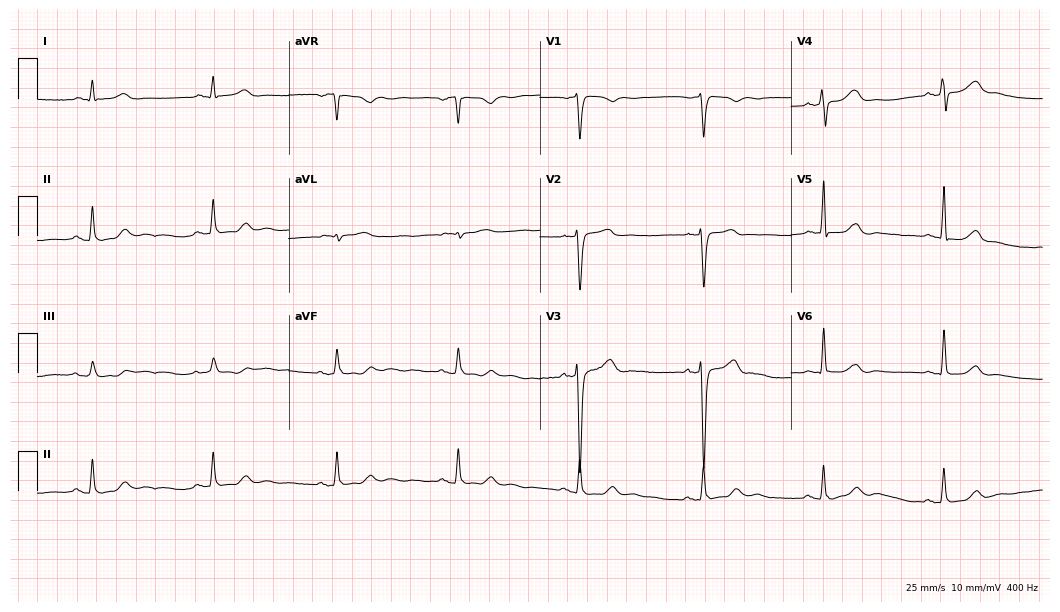
Resting 12-lead electrocardiogram. Patient: a male, 51 years old. The tracing shows sinus bradycardia (a sinus rate of 50 beats per minute or less).